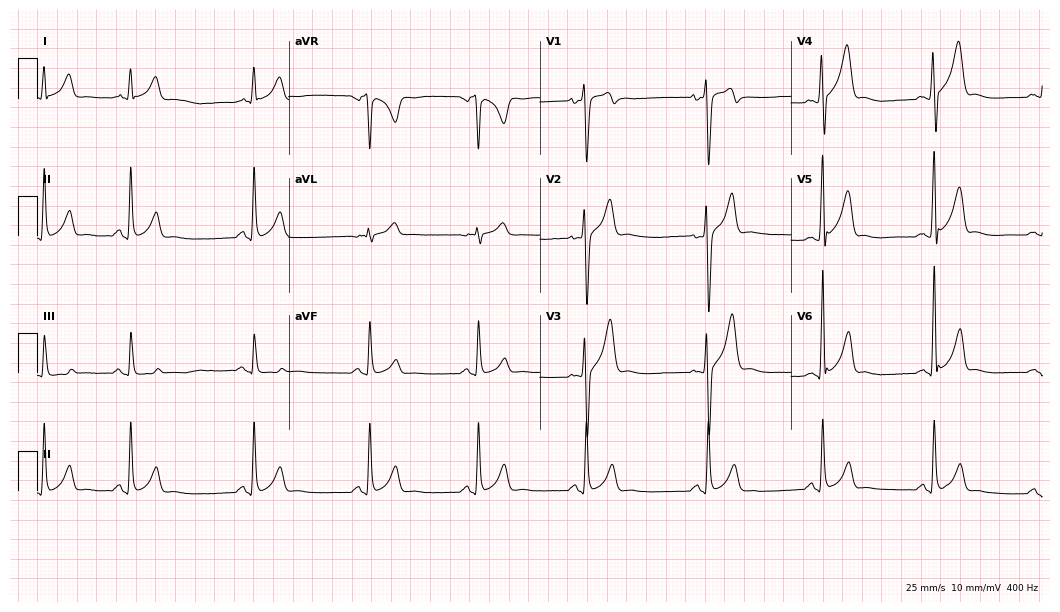
ECG — a 22-year-old male patient. Labelled as a normal ECG.